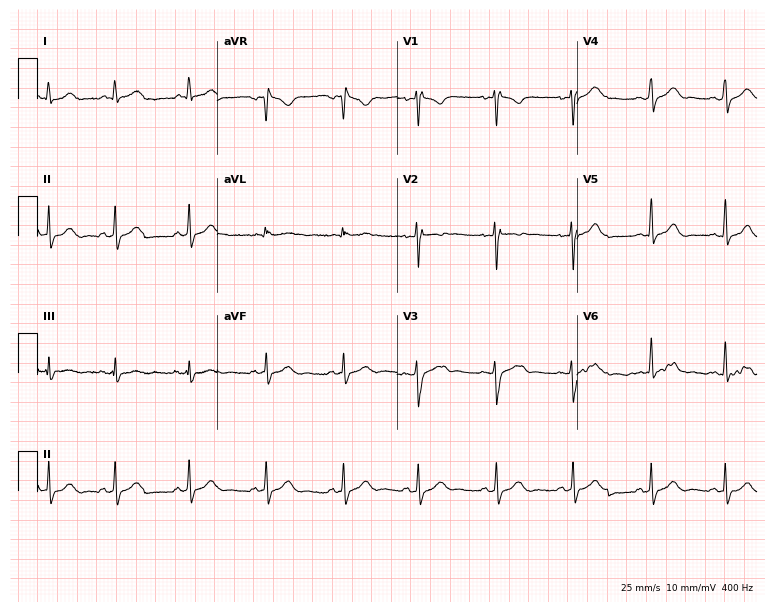
12-lead ECG from a 27-year-old female. Recorded interpretation: within normal limits.